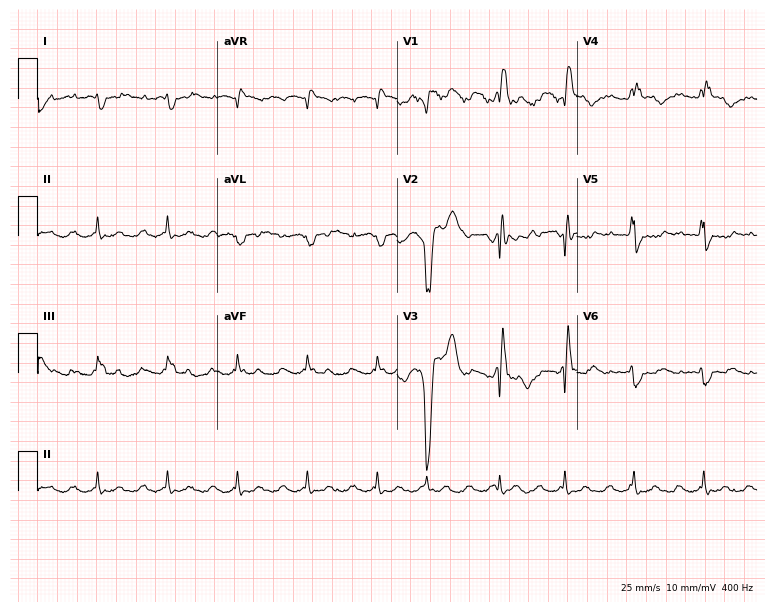
ECG — a man, 43 years old. Findings include right bundle branch block.